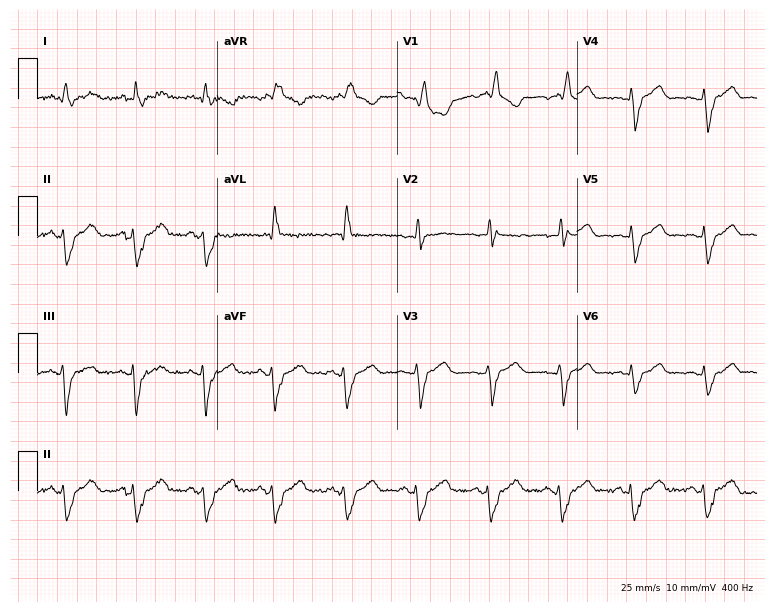
12-lead ECG (7.3-second recording at 400 Hz) from a 53-year-old man. Findings include right bundle branch block (RBBB).